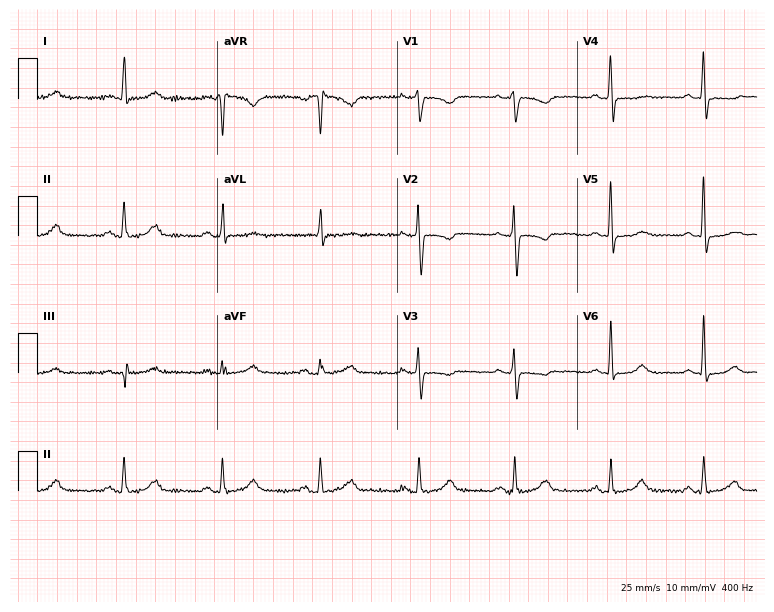
Resting 12-lead electrocardiogram. Patient: a 60-year-old female. None of these six findings is recorded: first-degree AV block, right bundle branch block (RBBB), left bundle branch block (LBBB), sinus bradycardia, atrial fibrillation (AF), sinus tachycardia. Other findings, if any, are not listed.